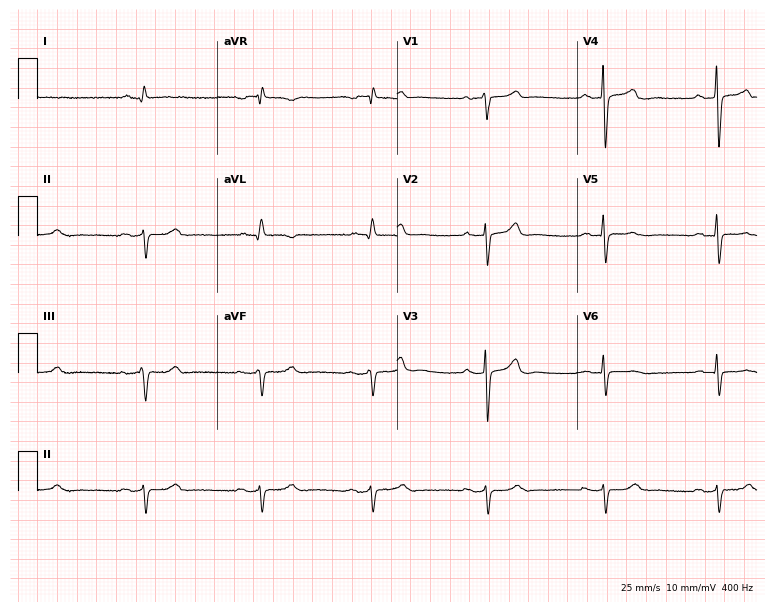
Electrocardiogram, a man, 70 years old. Of the six screened findings (first-degree AV block, right bundle branch block, left bundle branch block, sinus bradycardia, atrial fibrillation, sinus tachycardia), none is recorded.